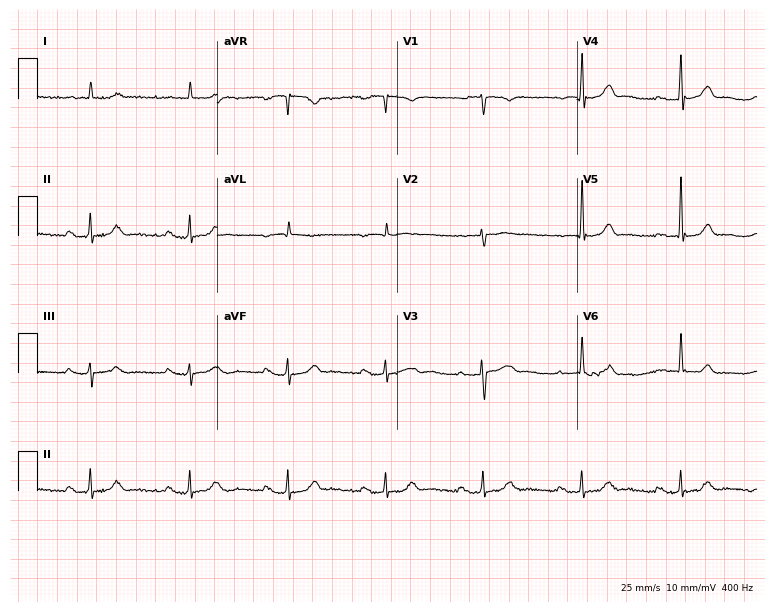
12-lead ECG from a 78-year-old male patient. No first-degree AV block, right bundle branch block, left bundle branch block, sinus bradycardia, atrial fibrillation or sinus tachycardia recorded for this tracing. Other findings, if any, are not listed.